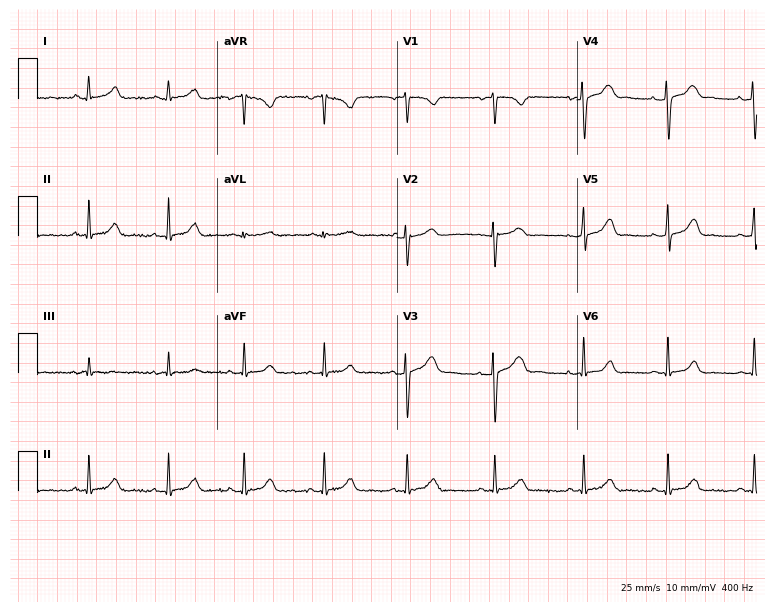
ECG — a female, 28 years old. Screened for six findings — first-degree AV block, right bundle branch block (RBBB), left bundle branch block (LBBB), sinus bradycardia, atrial fibrillation (AF), sinus tachycardia — none is recorded. Other findings, if any, are not listed.